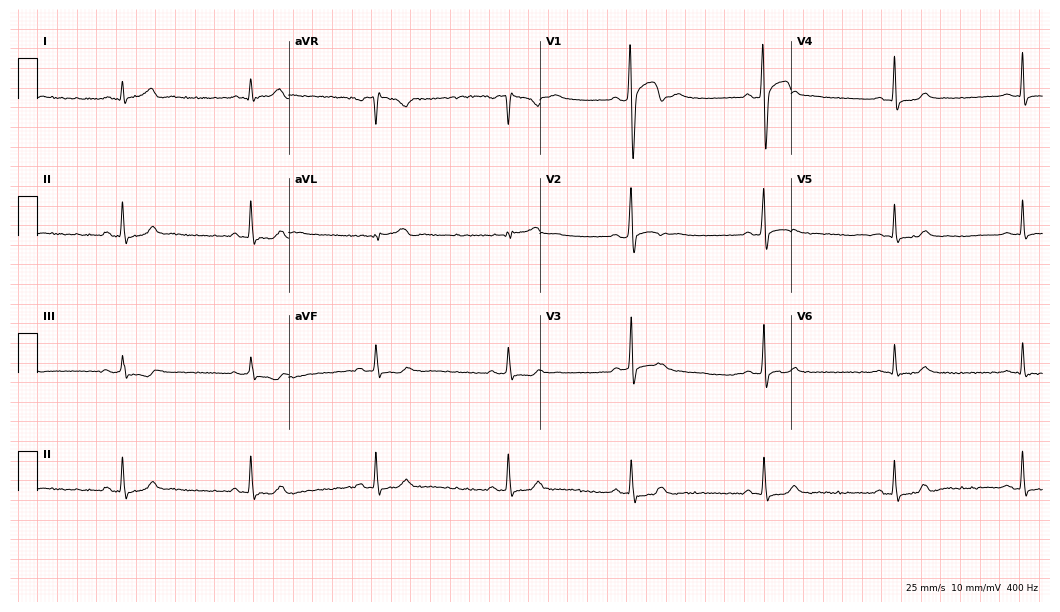
Electrocardiogram (10.2-second recording at 400 Hz), a 17-year-old male. Of the six screened findings (first-degree AV block, right bundle branch block (RBBB), left bundle branch block (LBBB), sinus bradycardia, atrial fibrillation (AF), sinus tachycardia), none is recorded. Other findings, if any, are not listed.